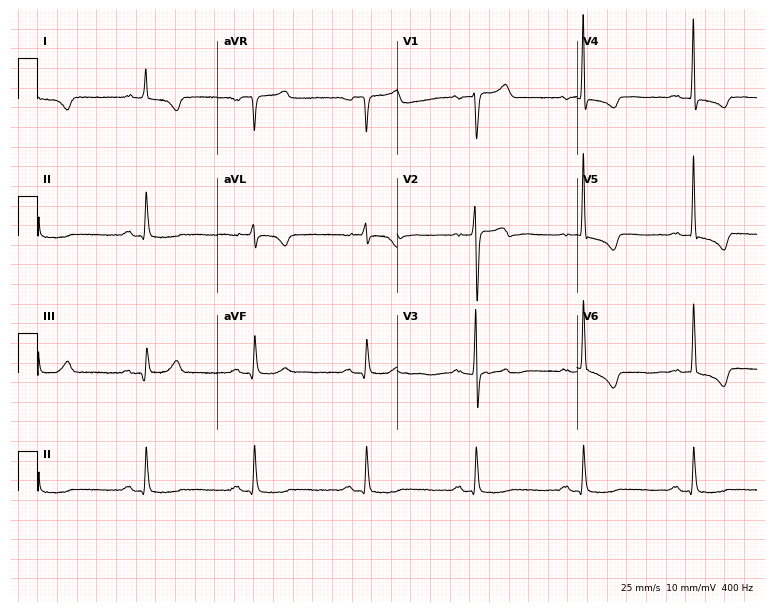
12-lead ECG from a 62-year-old man. Labelled as a normal ECG.